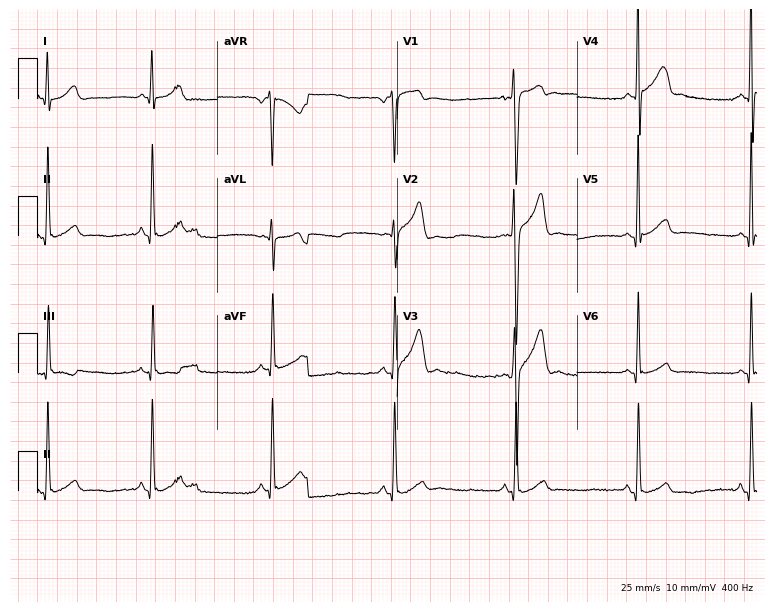
Resting 12-lead electrocardiogram. Patient: a male, 20 years old. None of these six findings is recorded: first-degree AV block, right bundle branch block, left bundle branch block, sinus bradycardia, atrial fibrillation, sinus tachycardia. Only these six findings were labelled.